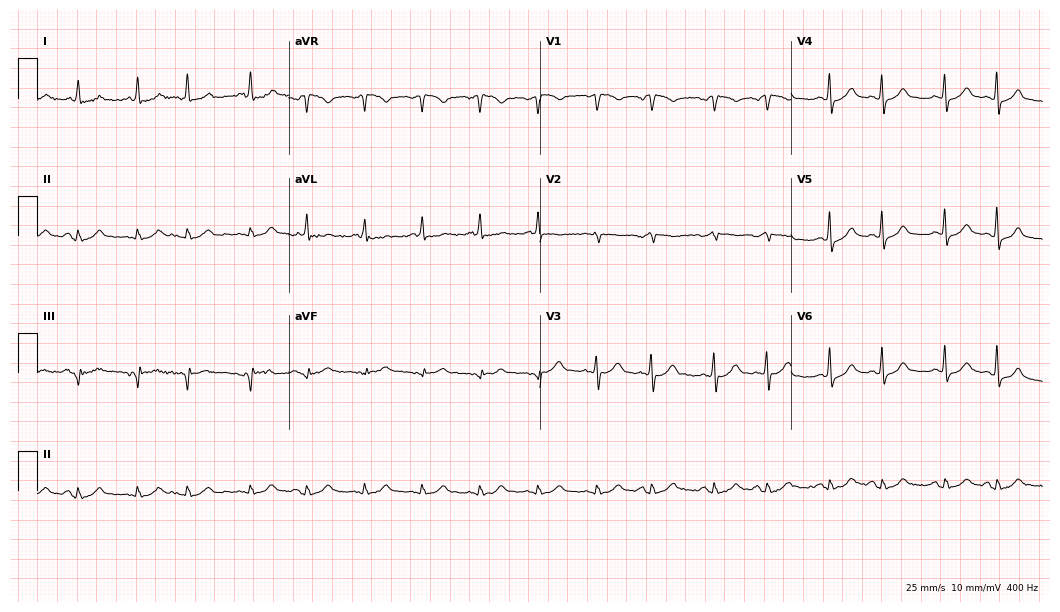
12-lead ECG from a 59-year-old female (10.2-second recording at 400 Hz). No first-degree AV block, right bundle branch block, left bundle branch block, sinus bradycardia, atrial fibrillation or sinus tachycardia recorded for this tracing. Findings outside these six are not listed.